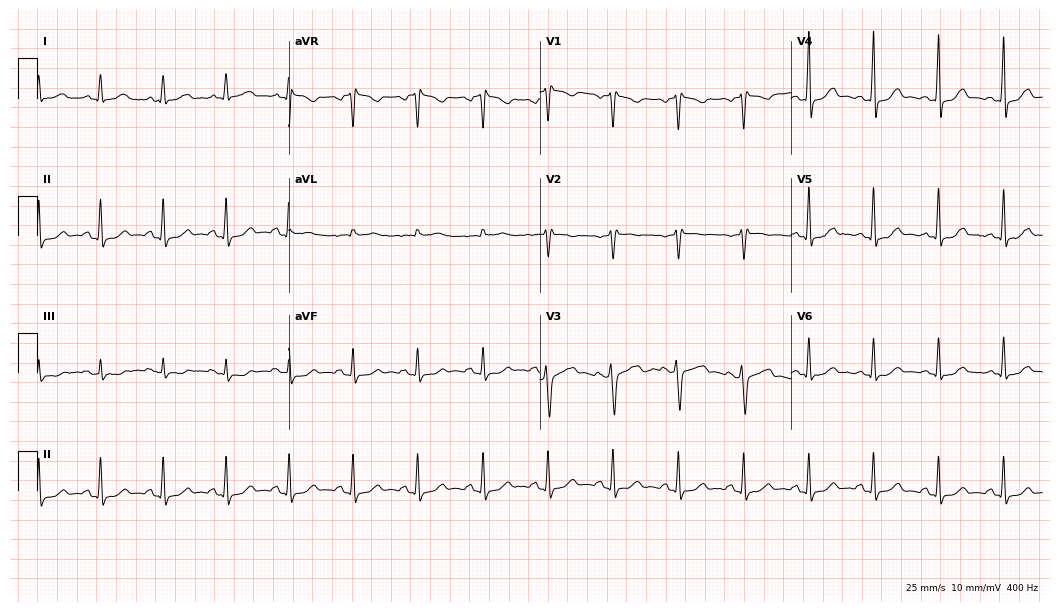
Standard 12-lead ECG recorded from a 41-year-old woman (10.2-second recording at 400 Hz). Read as a normal ECG.